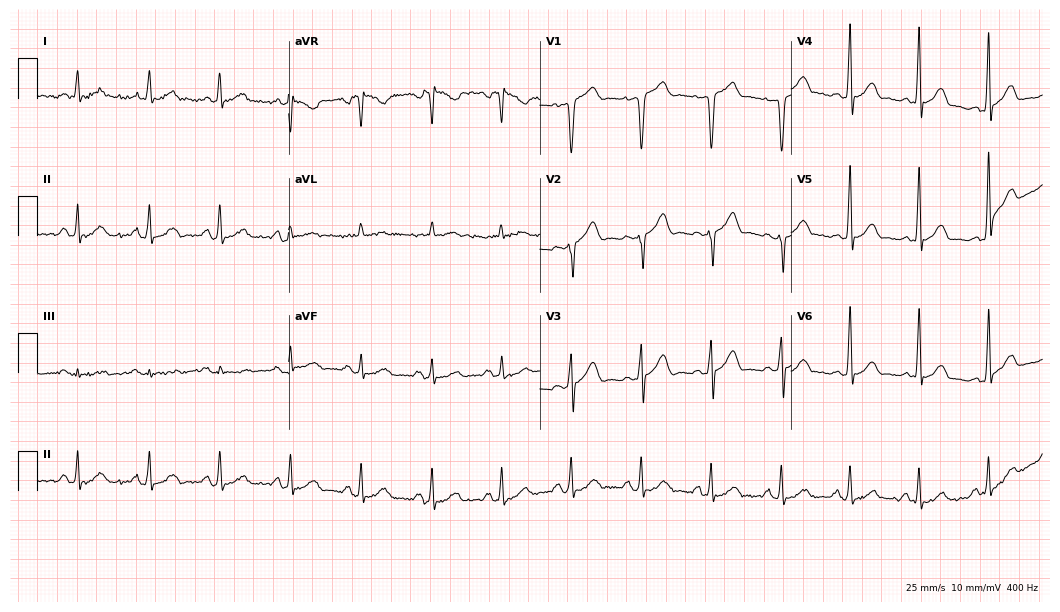
Standard 12-lead ECG recorded from a man, 52 years old (10.2-second recording at 400 Hz). Read as a normal ECG.